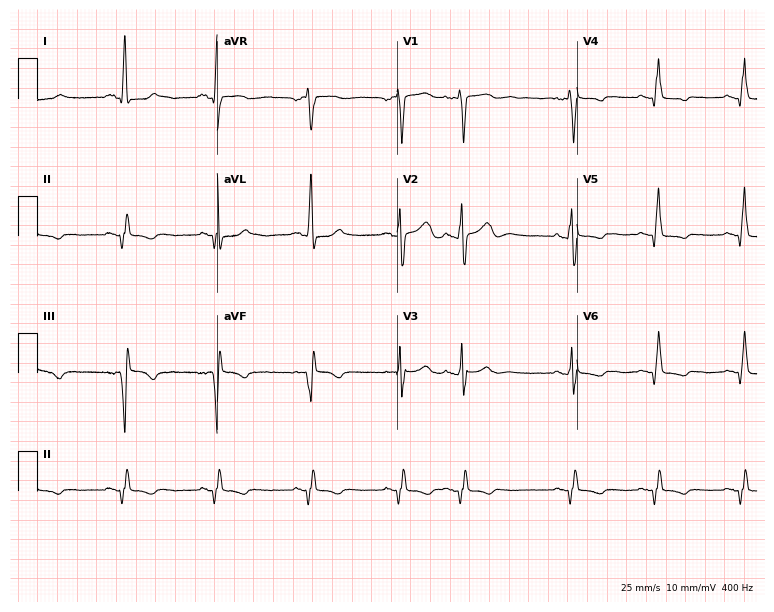
Standard 12-lead ECG recorded from a woman, 62 years old (7.3-second recording at 400 Hz). None of these six findings is recorded: first-degree AV block, right bundle branch block, left bundle branch block, sinus bradycardia, atrial fibrillation, sinus tachycardia.